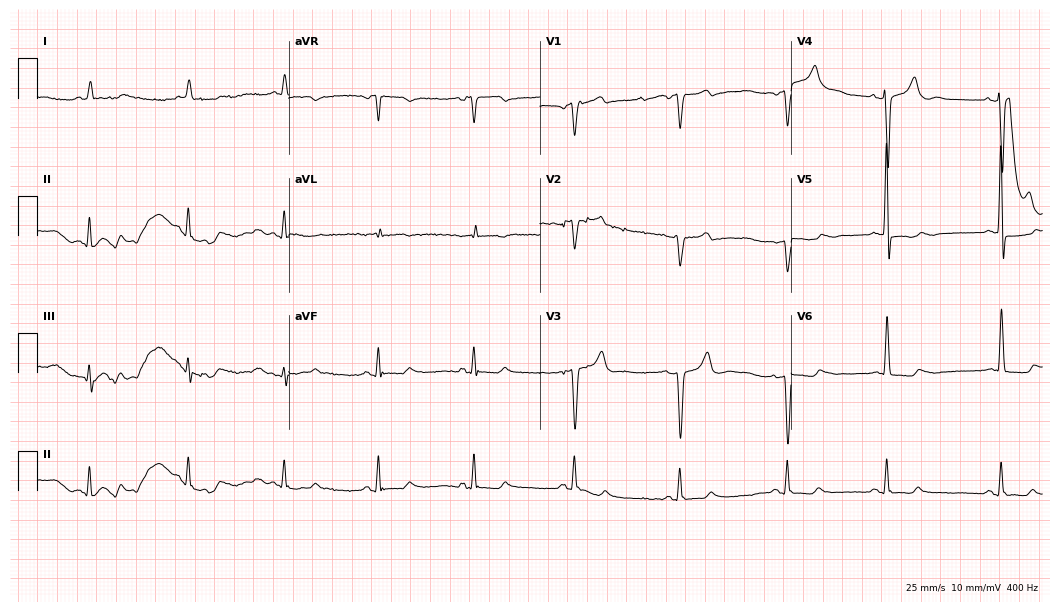
12-lead ECG from a 64-year-old male patient. No first-degree AV block, right bundle branch block, left bundle branch block, sinus bradycardia, atrial fibrillation or sinus tachycardia recorded for this tracing. Other findings, if any, are not listed.